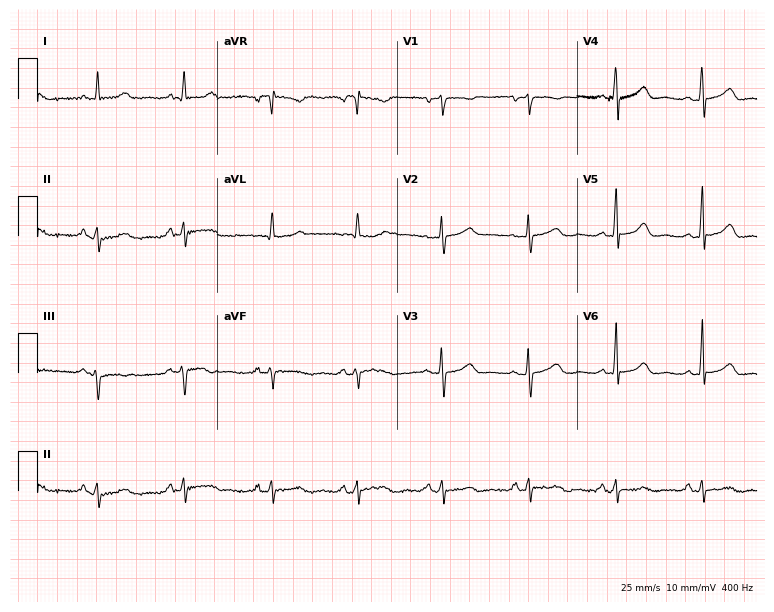
Resting 12-lead electrocardiogram. Patient: a female, 55 years old. None of these six findings is recorded: first-degree AV block, right bundle branch block, left bundle branch block, sinus bradycardia, atrial fibrillation, sinus tachycardia. Other findings, if any, are not listed.